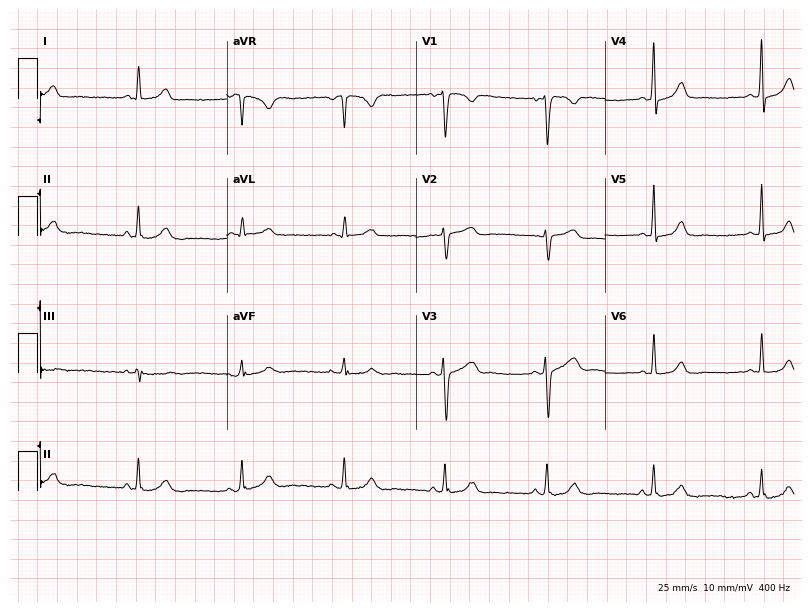
ECG — a 32-year-old female. Screened for six findings — first-degree AV block, right bundle branch block (RBBB), left bundle branch block (LBBB), sinus bradycardia, atrial fibrillation (AF), sinus tachycardia — none is recorded.